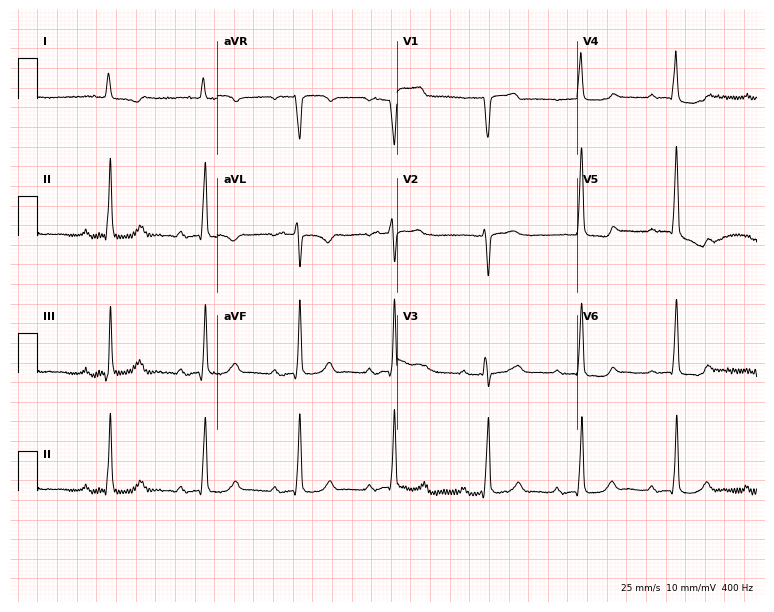
Standard 12-lead ECG recorded from a male, 84 years old. The tracing shows first-degree AV block.